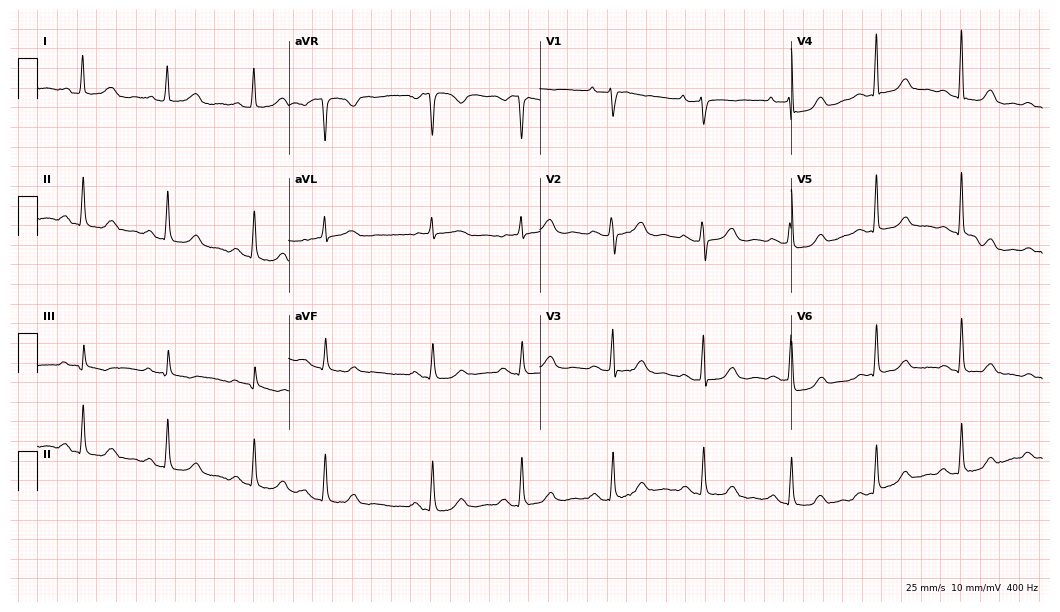
Standard 12-lead ECG recorded from a female patient, 73 years old. Read as a normal ECG.